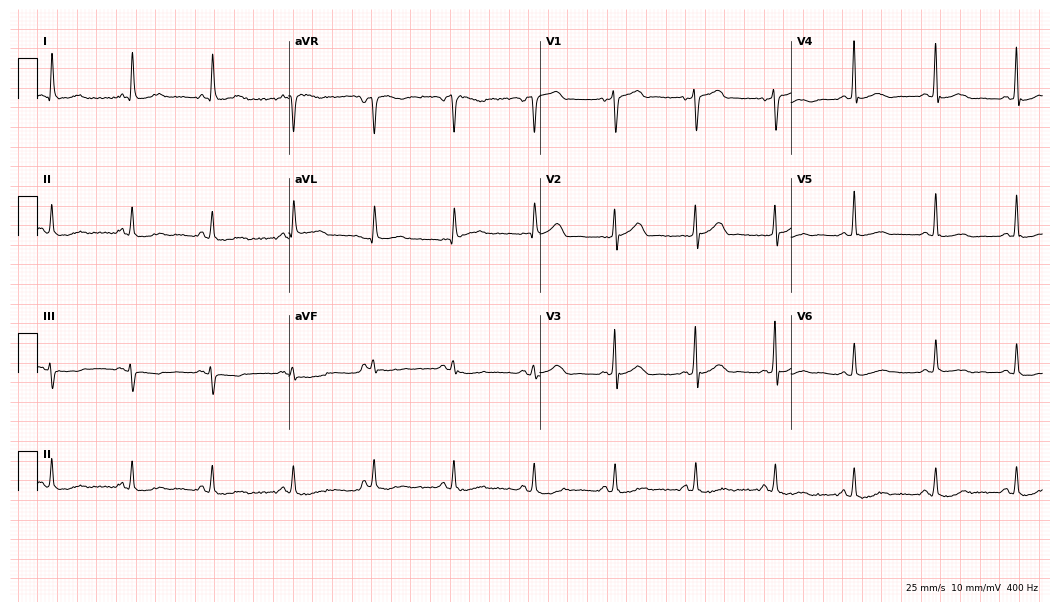
Standard 12-lead ECG recorded from a 75-year-old male. Read as a normal ECG.